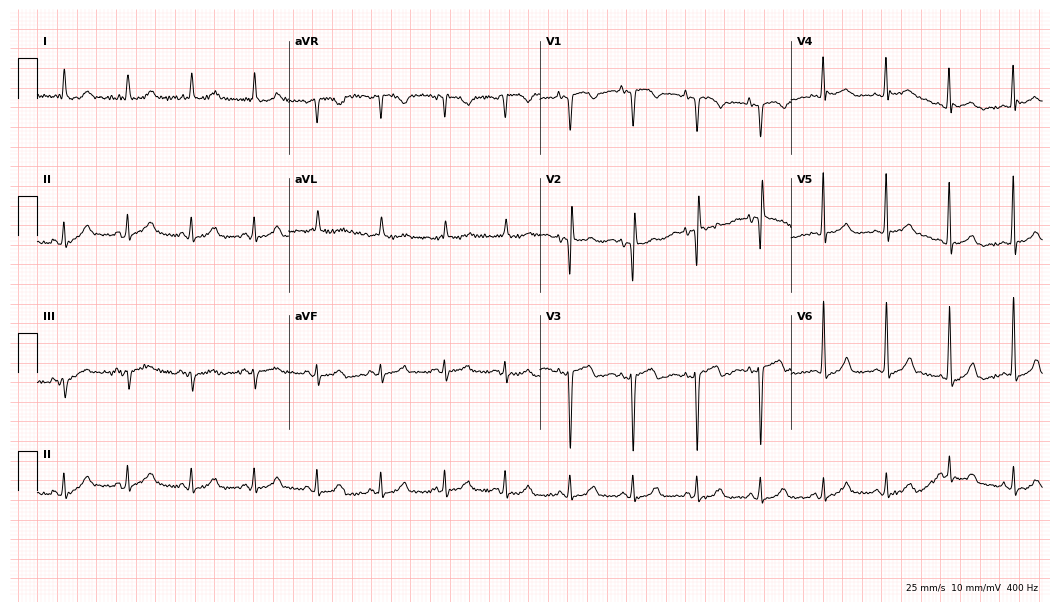
ECG — a female patient, 78 years old. Labelled as a normal ECG.